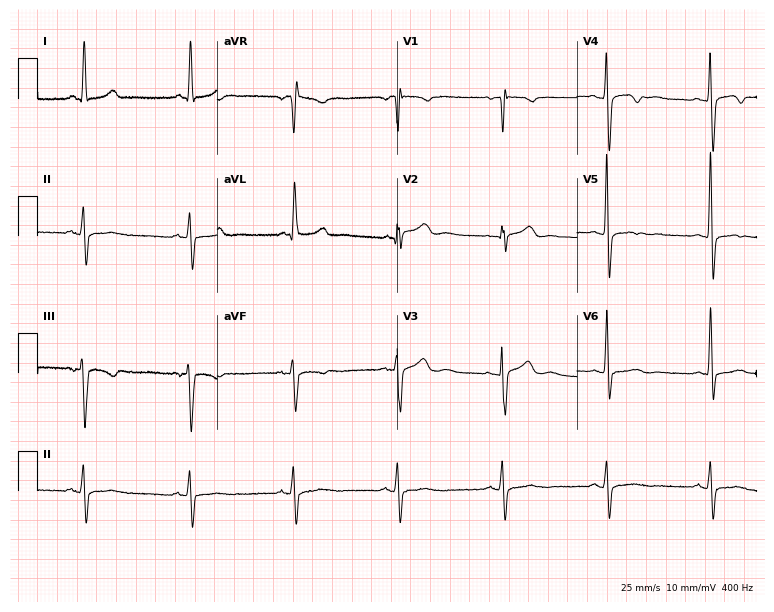
12-lead ECG from a 56-year-old female patient (7.3-second recording at 400 Hz). No first-degree AV block, right bundle branch block (RBBB), left bundle branch block (LBBB), sinus bradycardia, atrial fibrillation (AF) or sinus tachycardia recorded for this tracing. Other findings, if any, are not listed.